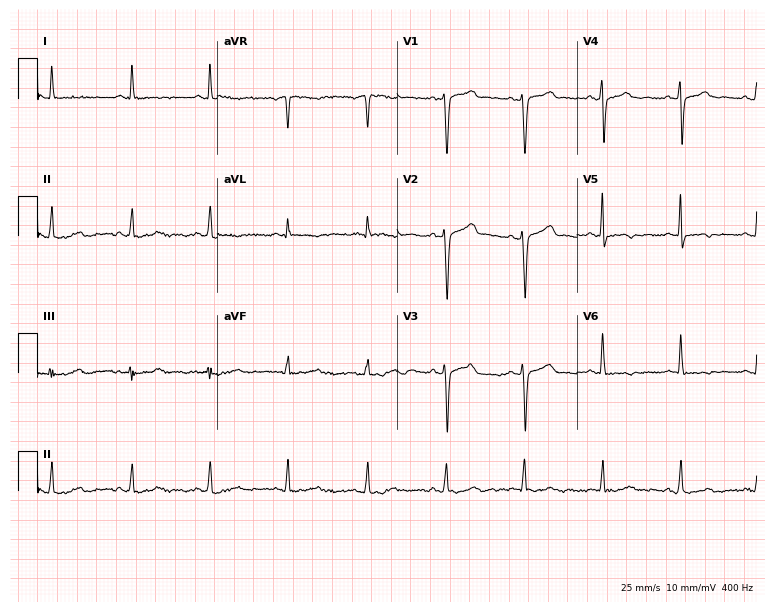
12-lead ECG (7.3-second recording at 400 Hz) from a 50-year-old female. Screened for six findings — first-degree AV block, right bundle branch block, left bundle branch block, sinus bradycardia, atrial fibrillation, sinus tachycardia — none is recorded. Only these six findings were labelled.